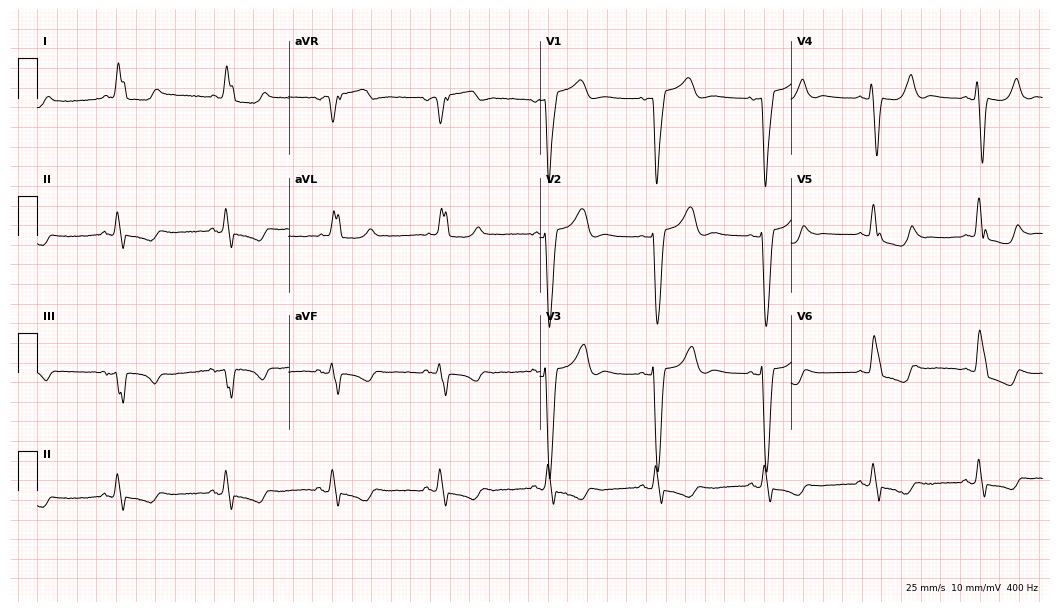
12-lead ECG from an 81-year-old female. Findings include left bundle branch block.